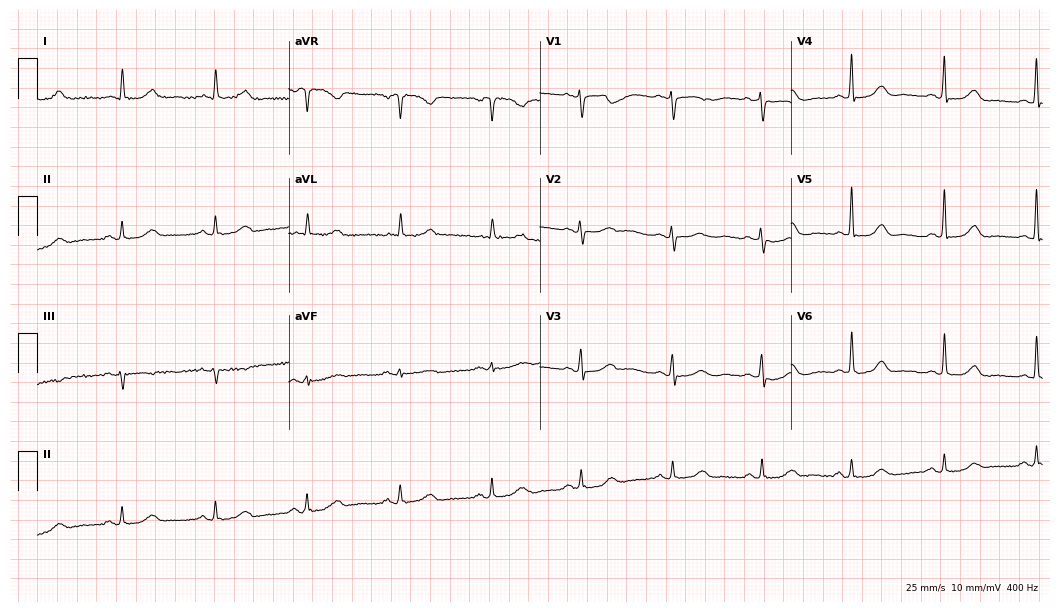
Resting 12-lead electrocardiogram (10.2-second recording at 400 Hz). Patient: a 72-year-old female. None of these six findings is recorded: first-degree AV block, right bundle branch block, left bundle branch block, sinus bradycardia, atrial fibrillation, sinus tachycardia.